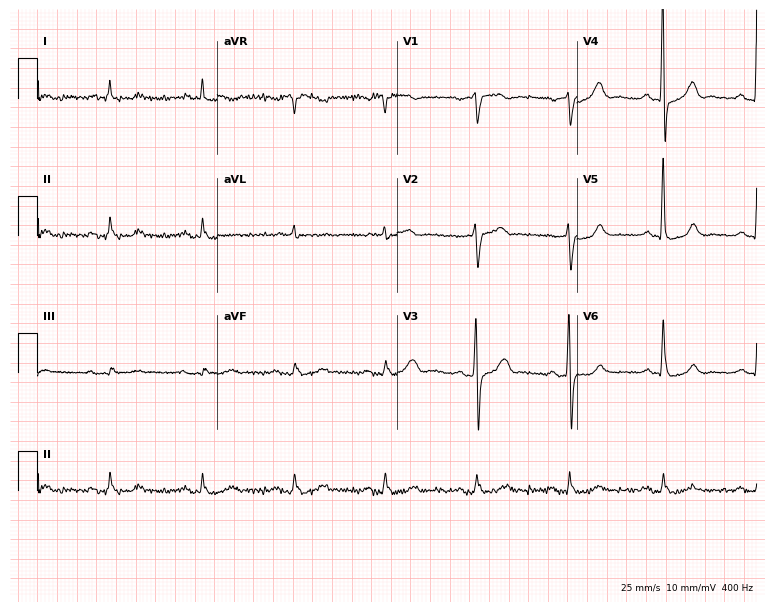
ECG — a male patient, 76 years old. Screened for six findings — first-degree AV block, right bundle branch block (RBBB), left bundle branch block (LBBB), sinus bradycardia, atrial fibrillation (AF), sinus tachycardia — none is recorded.